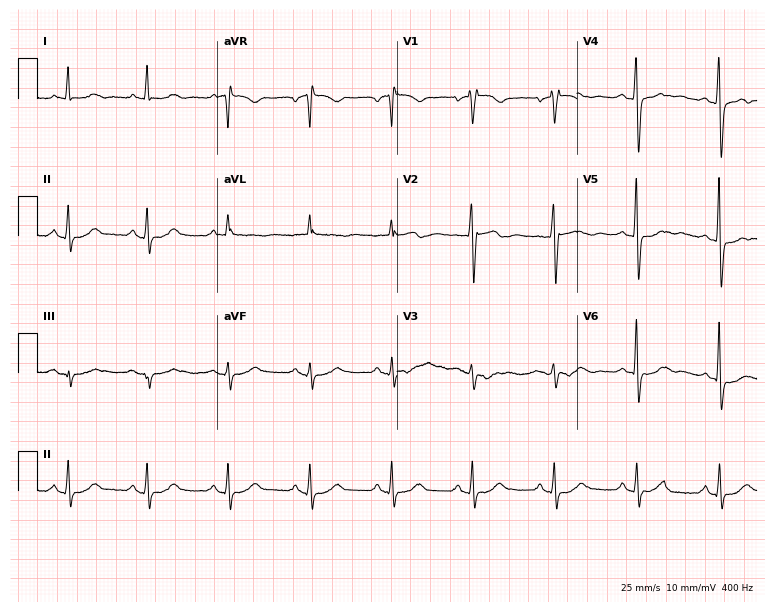
Electrocardiogram, a female, 58 years old. Overall reading on record: normal ECG.